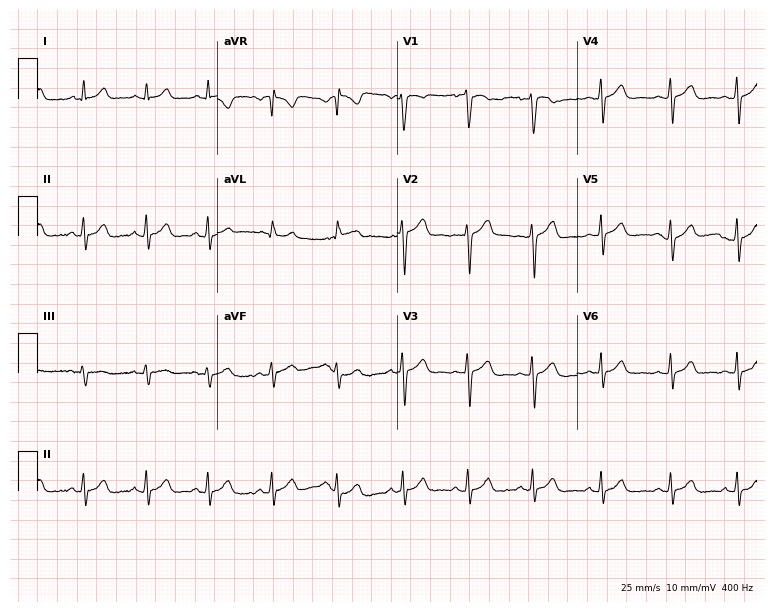
Resting 12-lead electrocardiogram. Patient: a 31-year-old female. None of these six findings is recorded: first-degree AV block, right bundle branch block, left bundle branch block, sinus bradycardia, atrial fibrillation, sinus tachycardia.